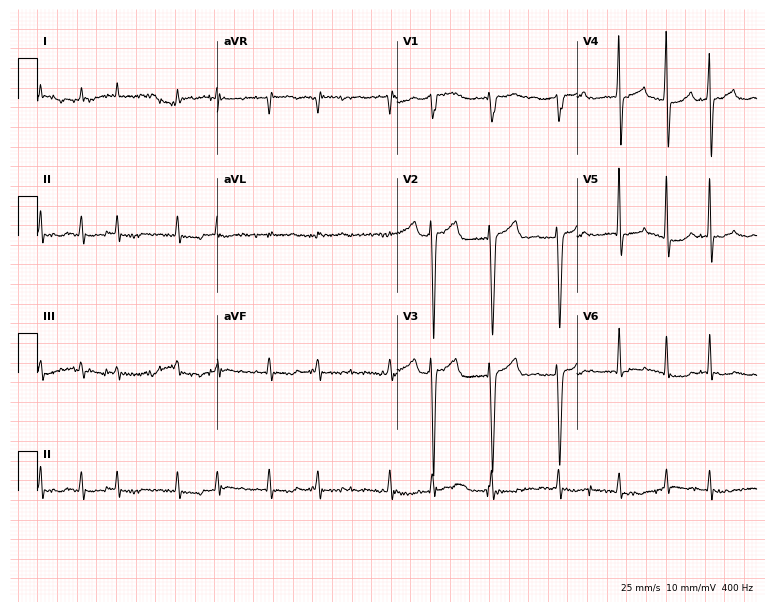
ECG (7.3-second recording at 400 Hz) — a male, 81 years old. Findings include atrial fibrillation (AF).